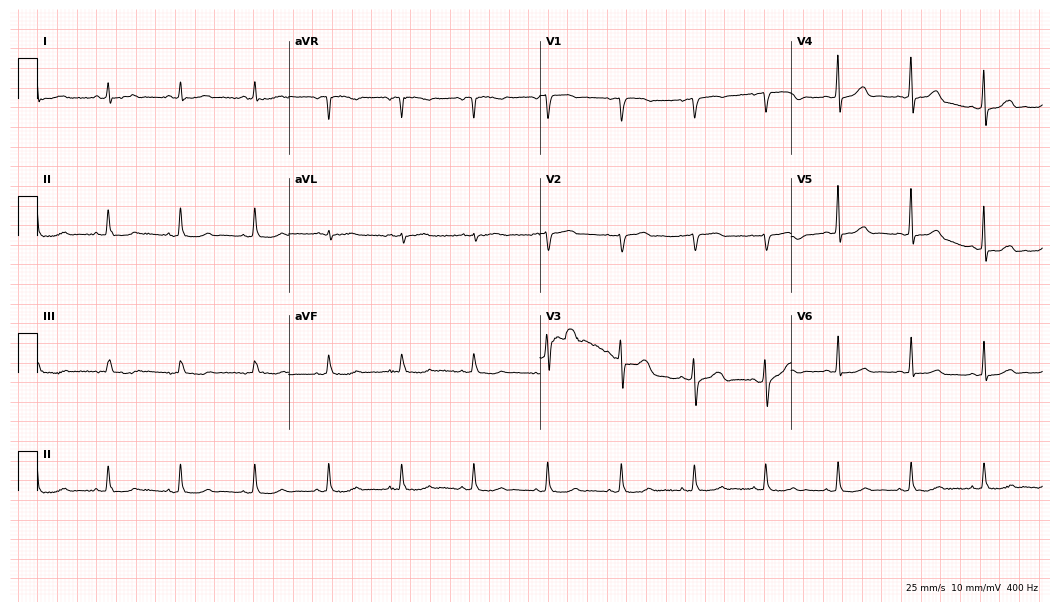
12-lead ECG from a female, 65 years old (10.2-second recording at 400 Hz). Recorded interpretation: within normal limits.